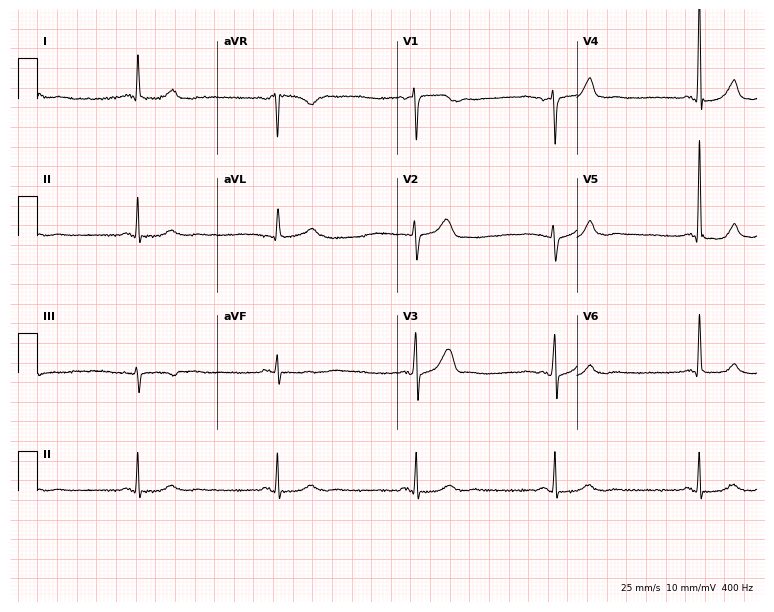
Electrocardiogram (7.3-second recording at 400 Hz), a 63-year-old man. Interpretation includes sinus bradycardia (a sinus rate of 50 beats per minute or less).